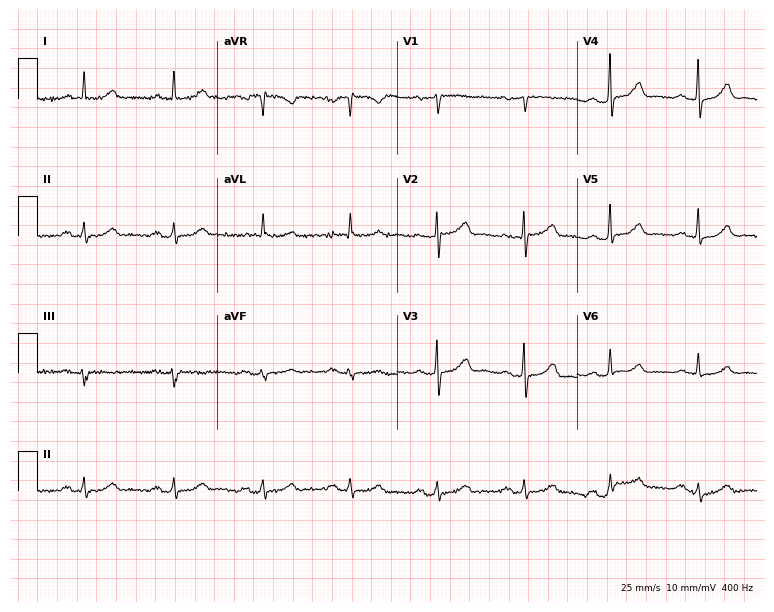
Resting 12-lead electrocardiogram. Patient: a 60-year-old female. Read as a normal ECG.